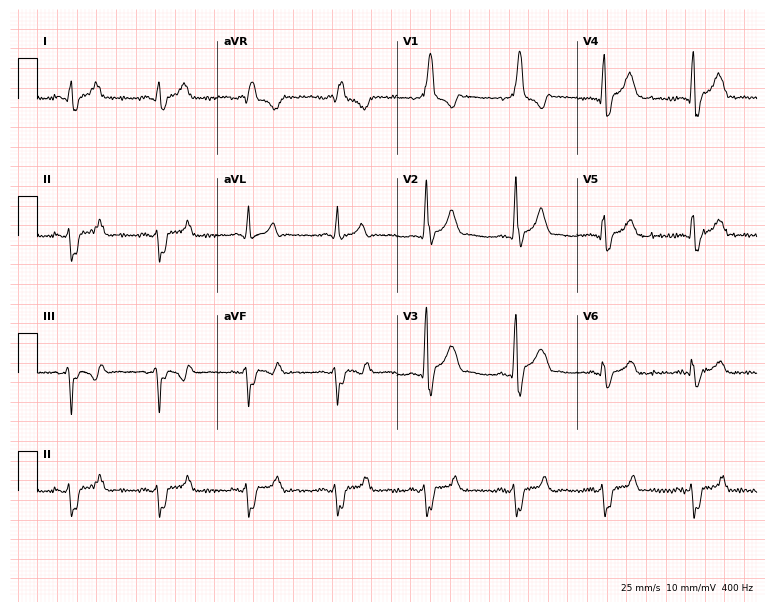
Resting 12-lead electrocardiogram. Patient: a 46-year-old man. The tracing shows right bundle branch block.